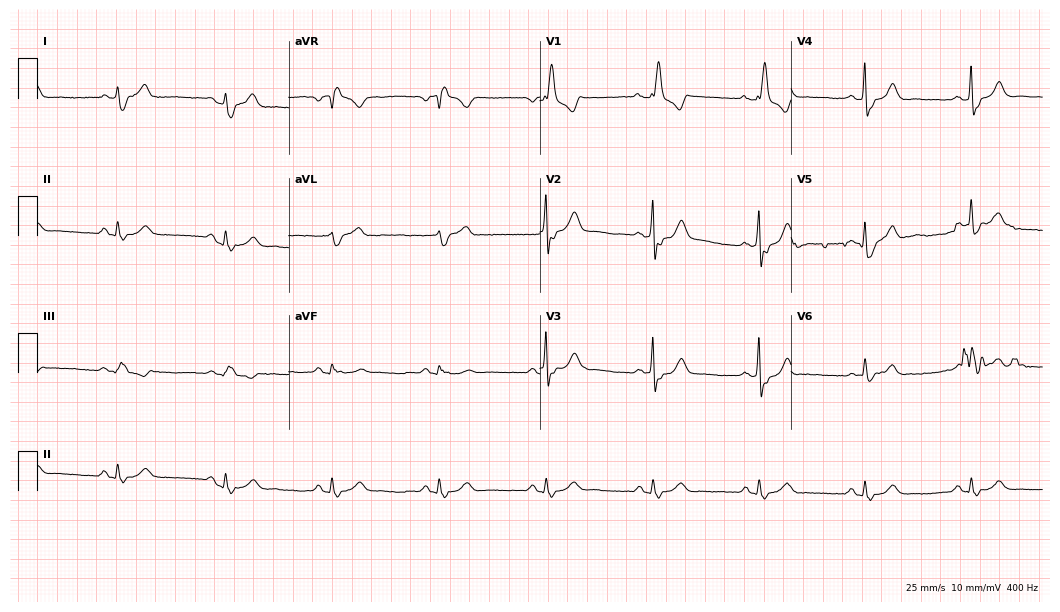
ECG — a man, 77 years old. Findings include right bundle branch block.